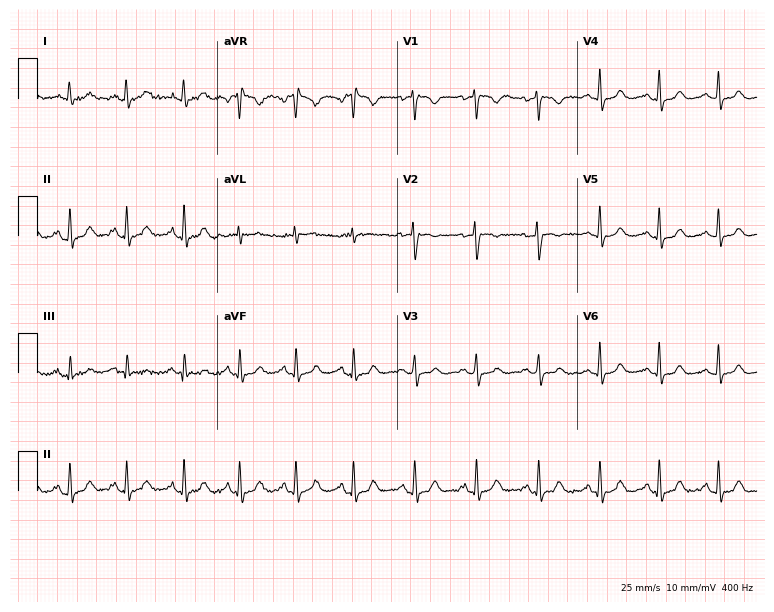
Electrocardiogram, a 29-year-old female patient. Interpretation includes sinus tachycardia (a sinus rate of 100 beats per minute or more).